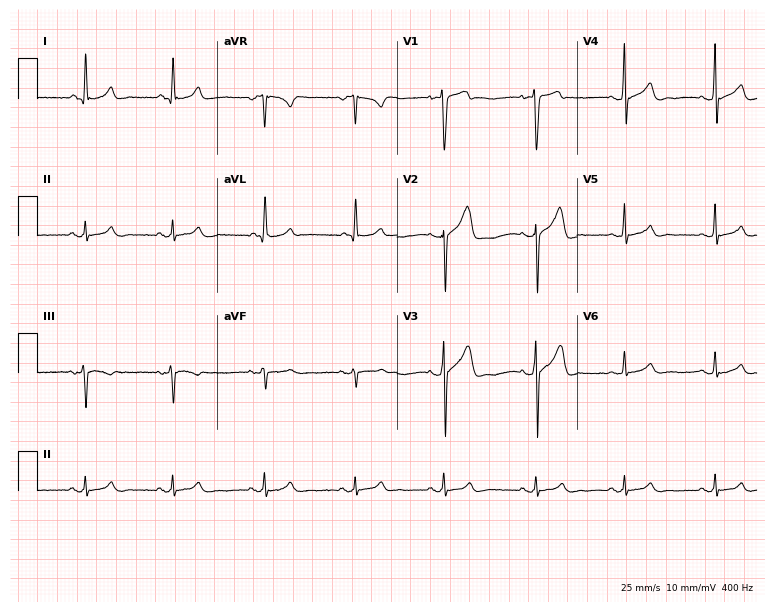
Electrocardiogram, a 41-year-old male. Overall reading on record: normal ECG.